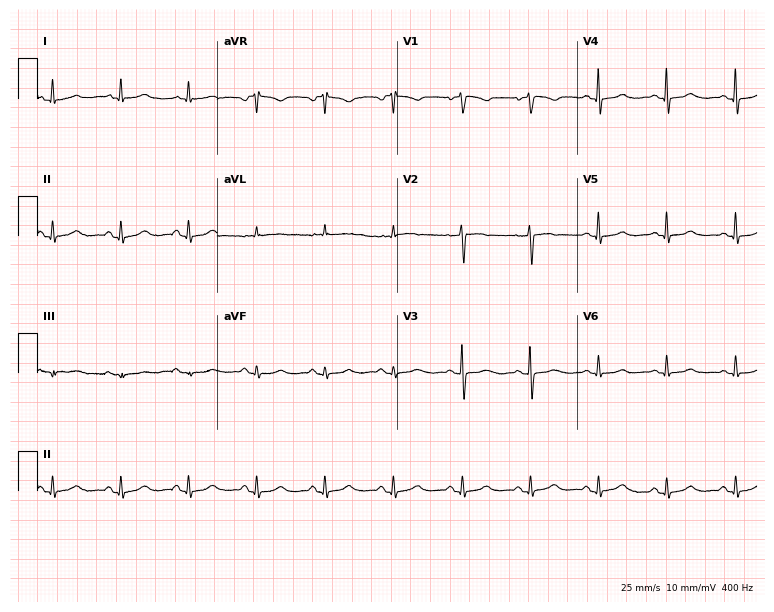
Electrocardiogram, a 69-year-old female patient. Of the six screened findings (first-degree AV block, right bundle branch block, left bundle branch block, sinus bradycardia, atrial fibrillation, sinus tachycardia), none is recorded.